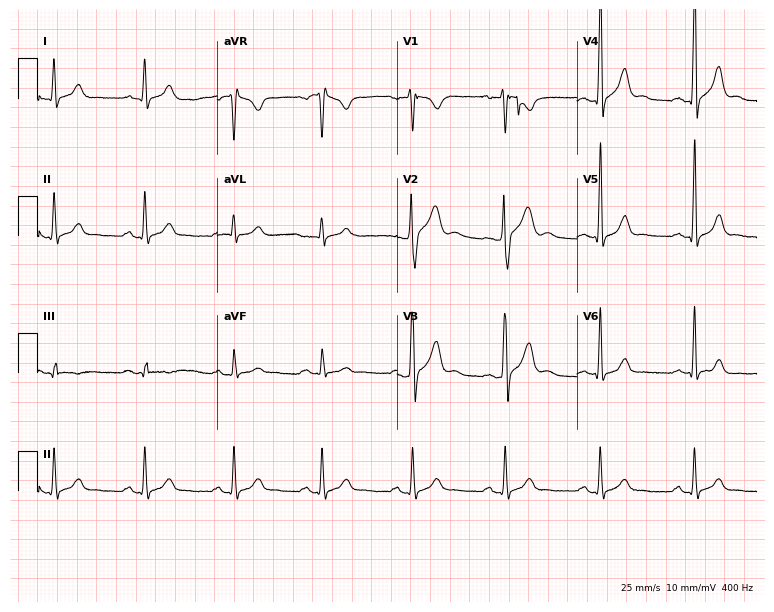
ECG (7.3-second recording at 400 Hz) — a 22-year-old man. Labelled as a normal ECG.